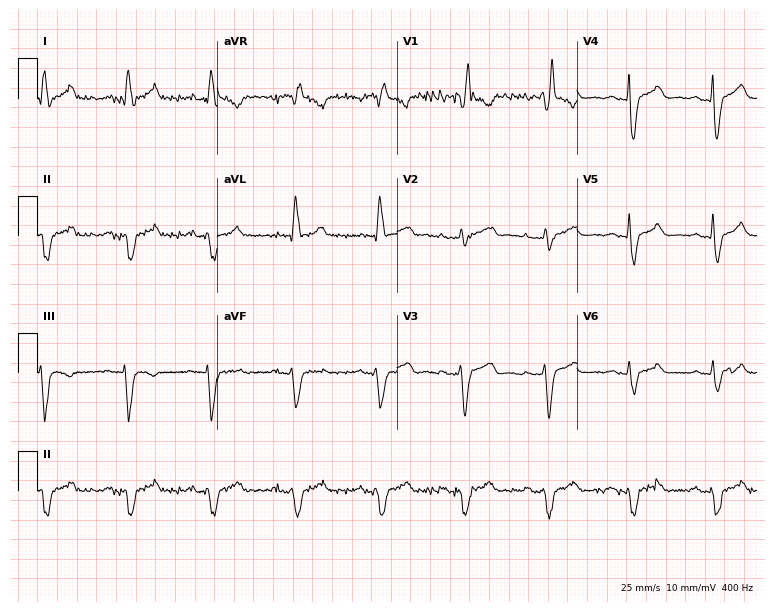
ECG (7.3-second recording at 400 Hz) — a 44-year-old man. Findings include right bundle branch block (RBBB).